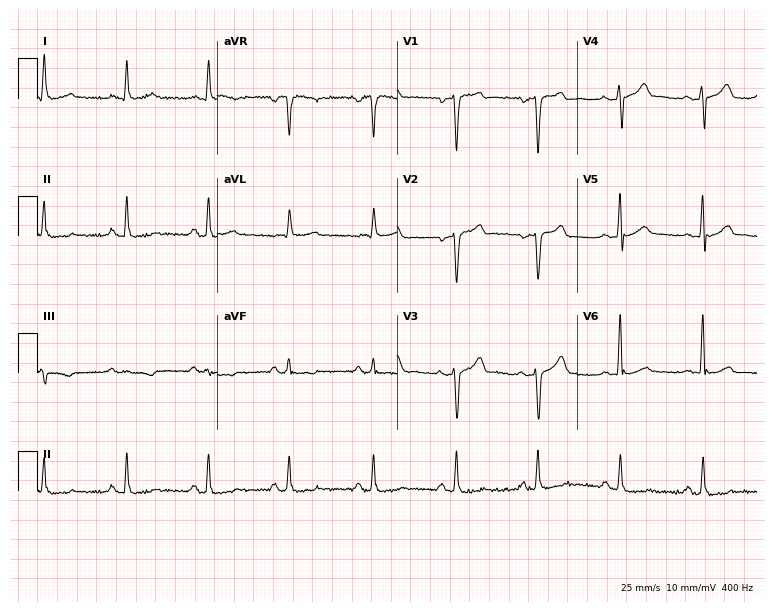
12-lead ECG from a man, 54 years old. Screened for six findings — first-degree AV block, right bundle branch block (RBBB), left bundle branch block (LBBB), sinus bradycardia, atrial fibrillation (AF), sinus tachycardia — none is recorded.